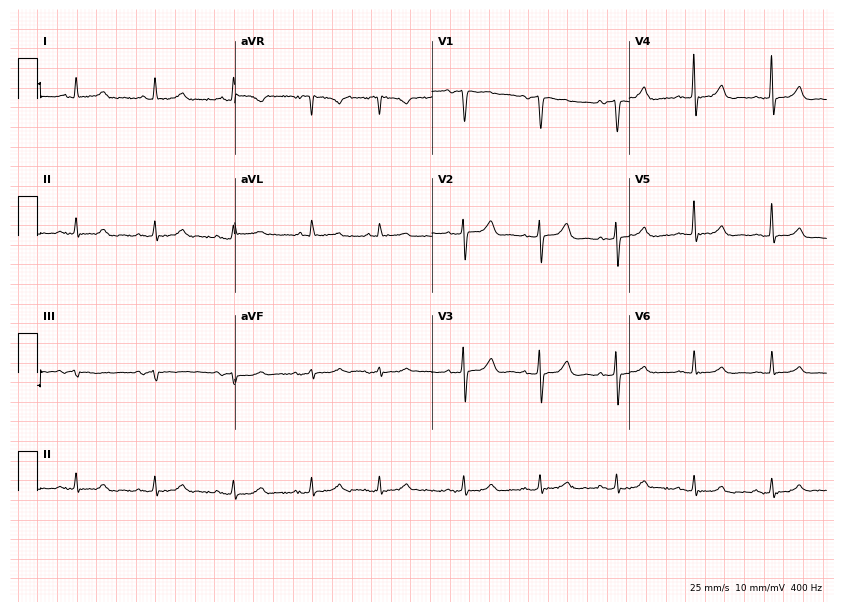
Resting 12-lead electrocardiogram (8-second recording at 400 Hz). Patient: a male, 79 years old. Read as a normal ECG.